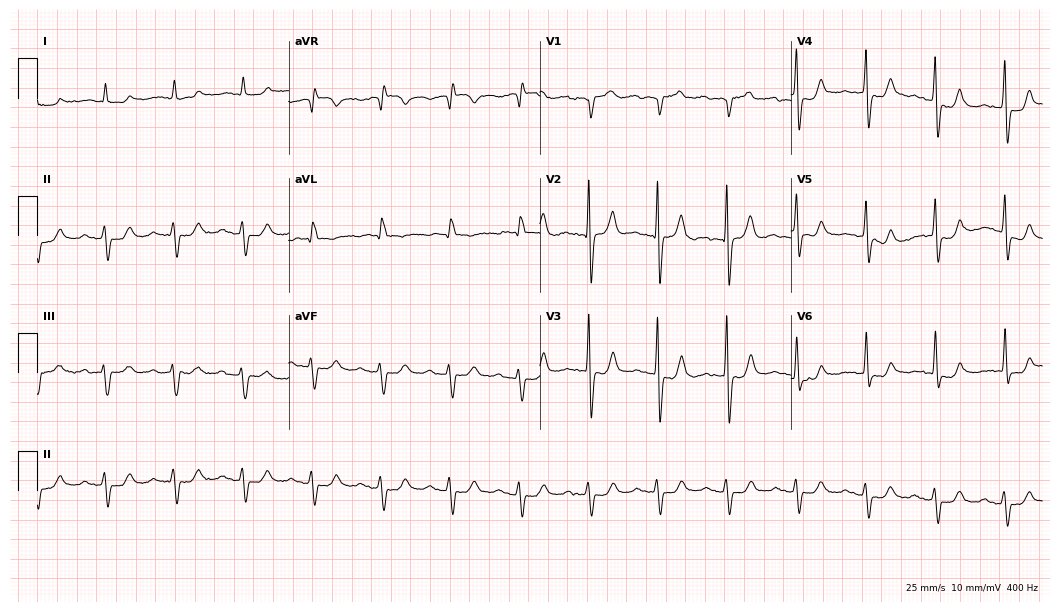
ECG (10.2-second recording at 400 Hz) — a 79-year-old male. Screened for six findings — first-degree AV block, right bundle branch block, left bundle branch block, sinus bradycardia, atrial fibrillation, sinus tachycardia — none is recorded. Findings outside these six are not listed.